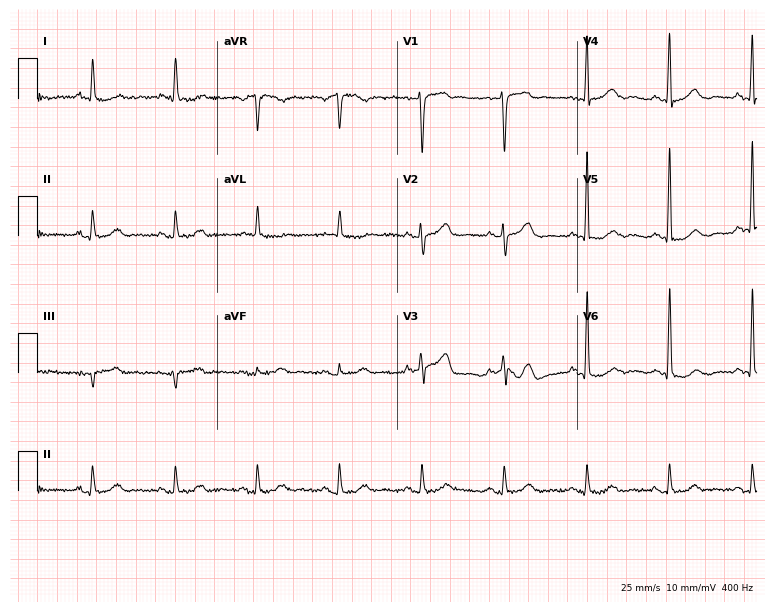
12-lead ECG from an 80-year-old man (7.3-second recording at 400 Hz). No first-degree AV block, right bundle branch block, left bundle branch block, sinus bradycardia, atrial fibrillation or sinus tachycardia recorded for this tracing.